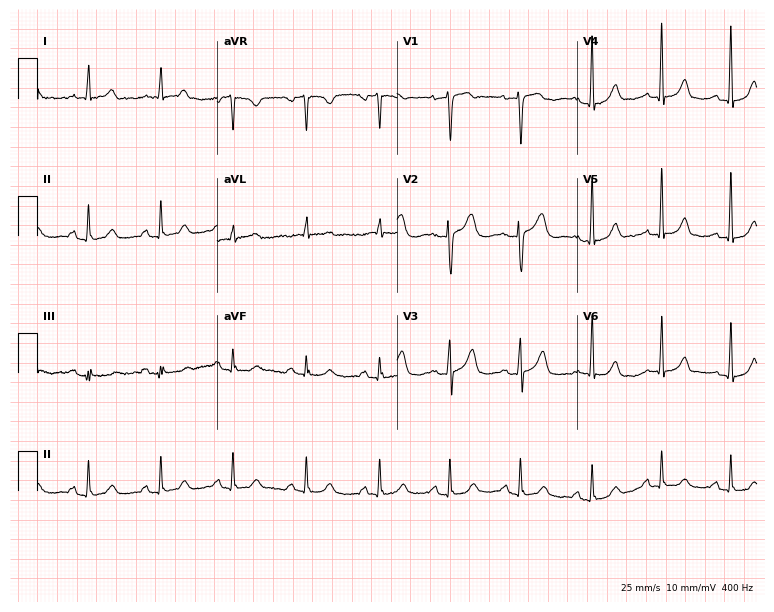
ECG (7.3-second recording at 400 Hz) — a female, 67 years old. Labelled as a normal ECG.